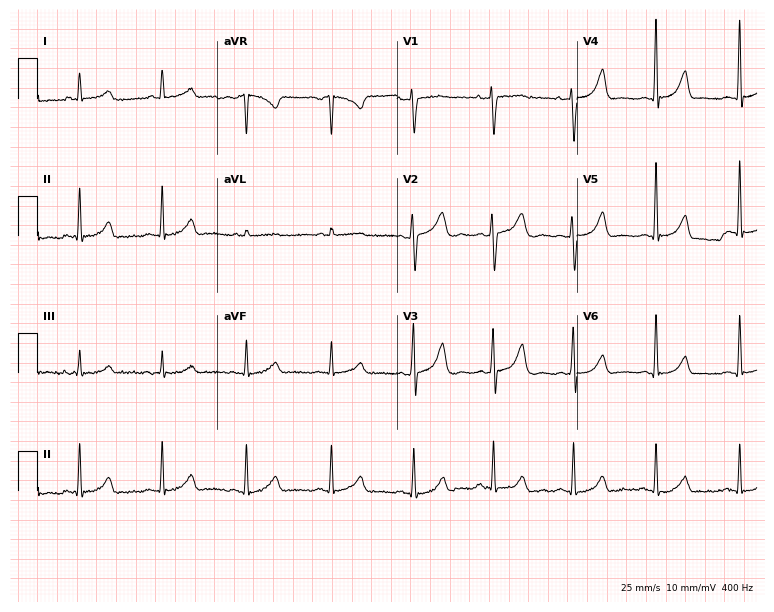
ECG (7.3-second recording at 400 Hz) — a 41-year-old woman. Labelled as a normal ECG.